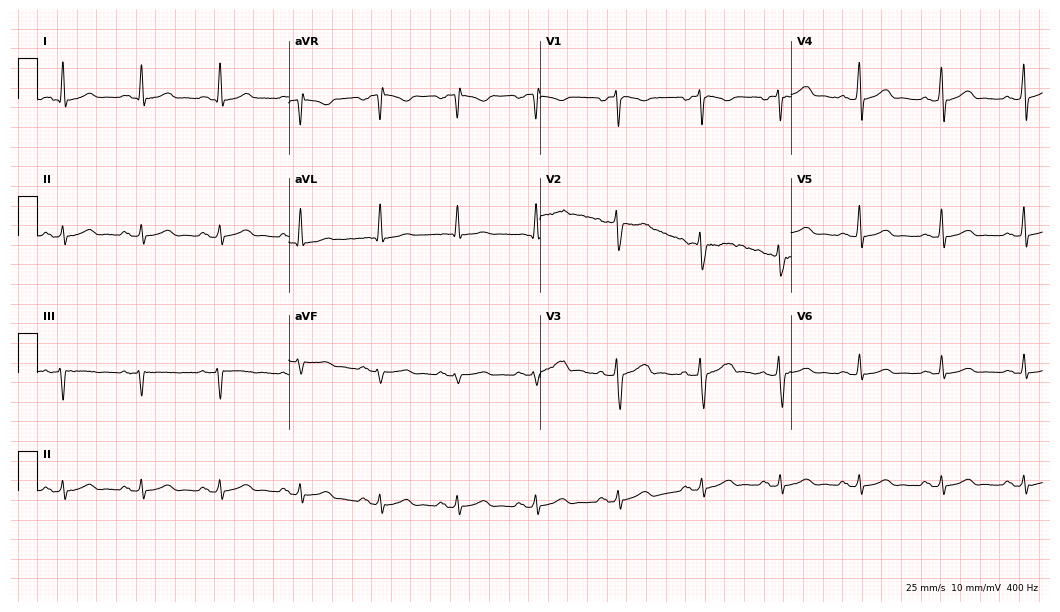
12-lead ECG from a male patient, 31 years old (10.2-second recording at 400 Hz). Recorded interpretation: within normal limits.